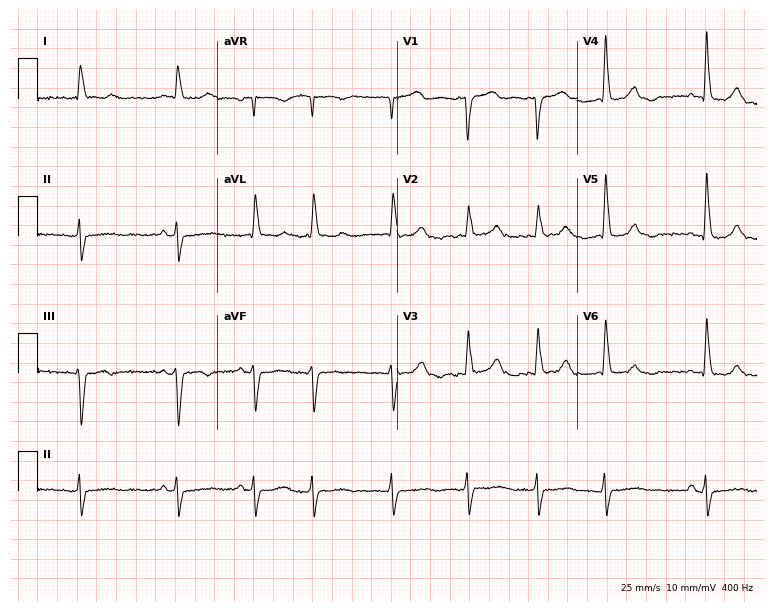
ECG (7.3-second recording at 400 Hz) — a woman, 83 years old. Findings include atrial fibrillation (AF).